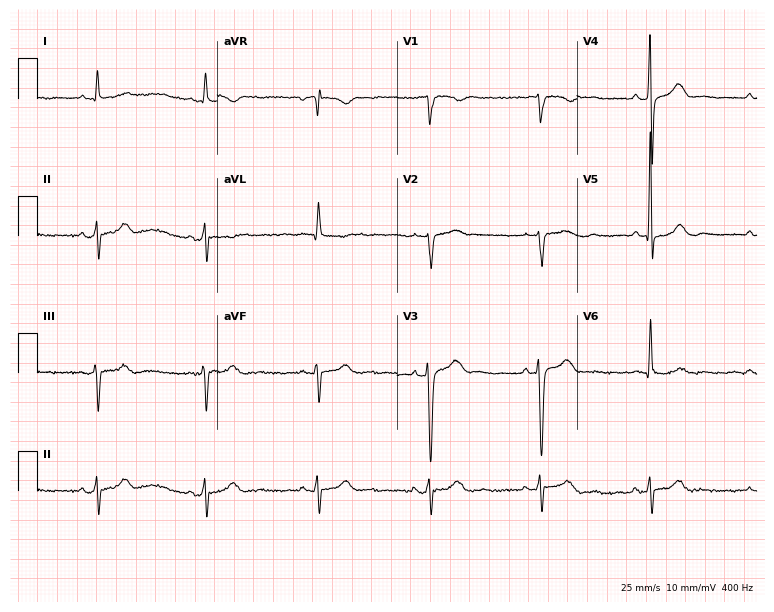
Electrocardiogram (7.3-second recording at 400 Hz), a male patient, 70 years old. Of the six screened findings (first-degree AV block, right bundle branch block (RBBB), left bundle branch block (LBBB), sinus bradycardia, atrial fibrillation (AF), sinus tachycardia), none is recorded.